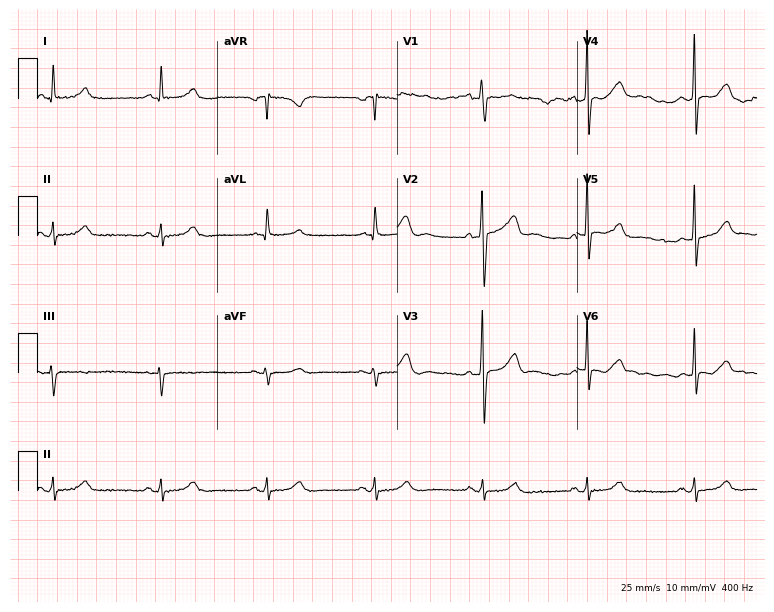
Electrocardiogram (7.3-second recording at 400 Hz), a male patient, 70 years old. Overall reading on record: normal ECG.